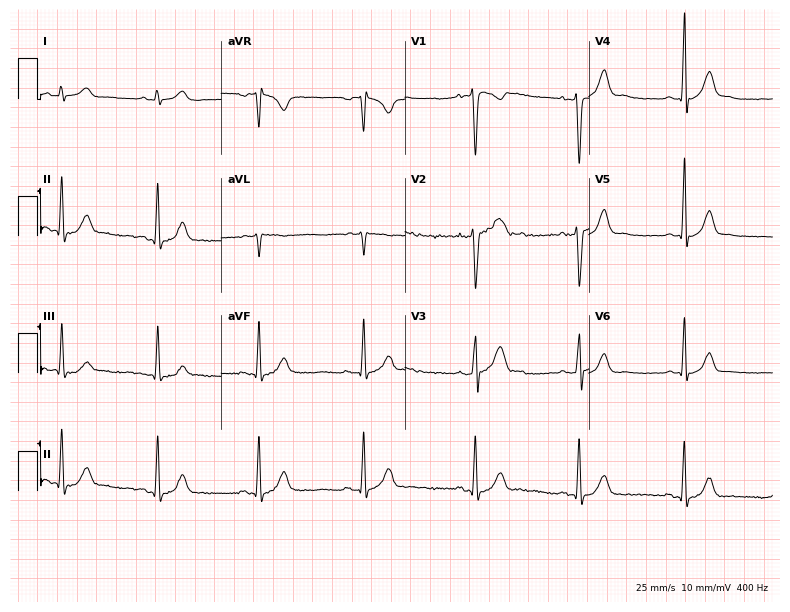
12-lead ECG from a male, 21 years old (7.5-second recording at 400 Hz). No first-degree AV block, right bundle branch block (RBBB), left bundle branch block (LBBB), sinus bradycardia, atrial fibrillation (AF) or sinus tachycardia recorded for this tracing. Only these six findings were labelled.